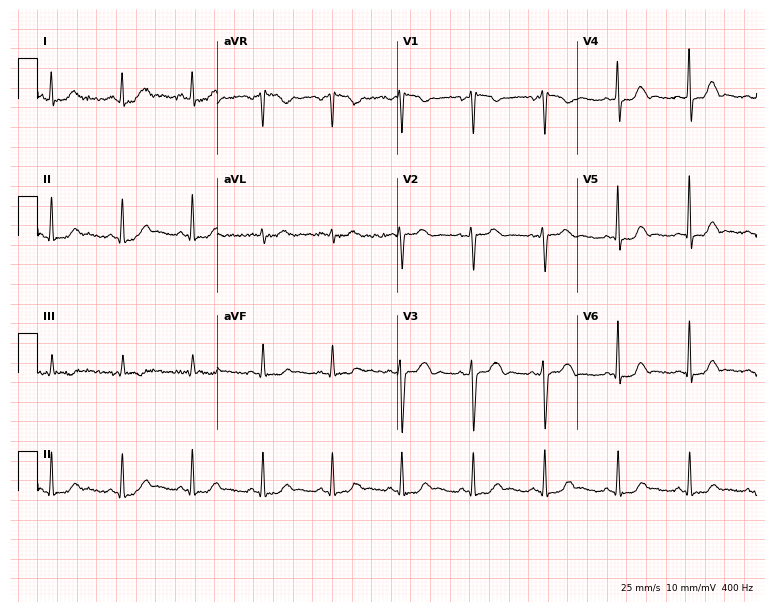
ECG (7.3-second recording at 400 Hz) — a female patient, 48 years old. Labelled as a normal ECG.